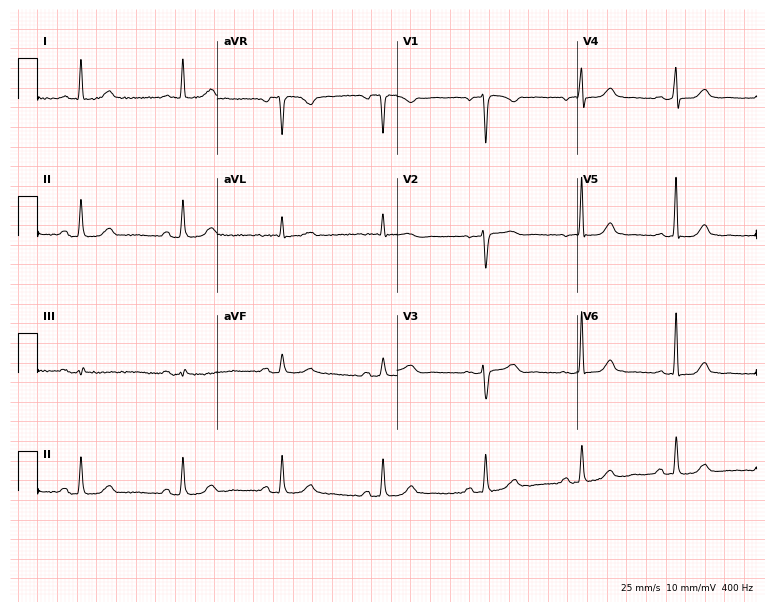
Standard 12-lead ECG recorded from a female patient, 46 years old. None of these six findings is recorded: first-degree AV block, right bundle branch block (RBBB), left bundle branch block (LBBB), sinus bradycardia, atrial fibrillation (AF), sinus tachycardia.